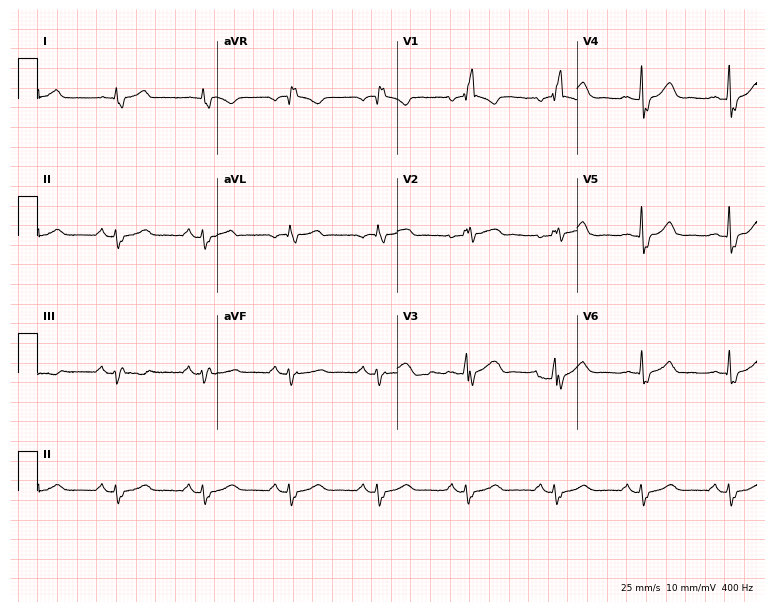
12-lead ECG (7.3-second recording at 400 Hz) from a 79-year-old male patient. Screened for six findings — first-degree AV block, right bundle branch block (RBBB), left bundle branch block (LBBB), sinus bradycardia, atrial fibrillation (AF), sinus tachycardia — none is recorded.